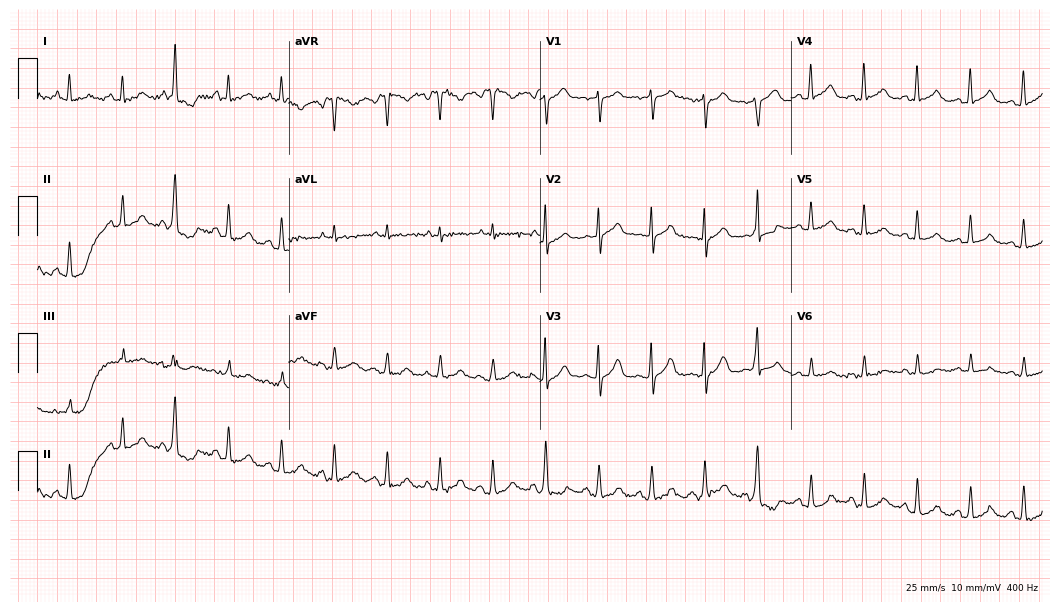
12-lead ECG from a woman, 66 years old. No first-degree AV block, right bundle branch block (RBBB), left bundle branch block (LBBB), sinus bradycardia, atrial fibrillation (AF) or sinus tachycardia recorded for this tracing.